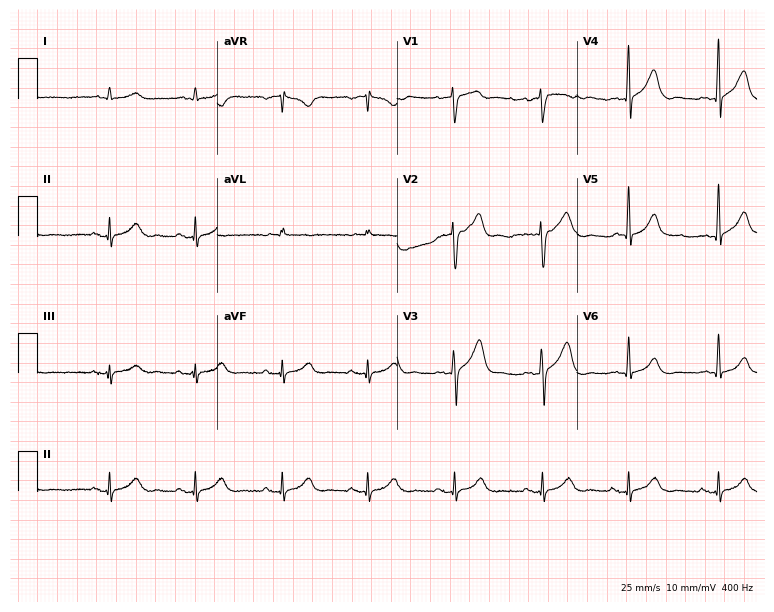
12-lead ECG (7.3-second recording at 400 Hz) from a 72-year-old male. Labelled as a normal ECG.